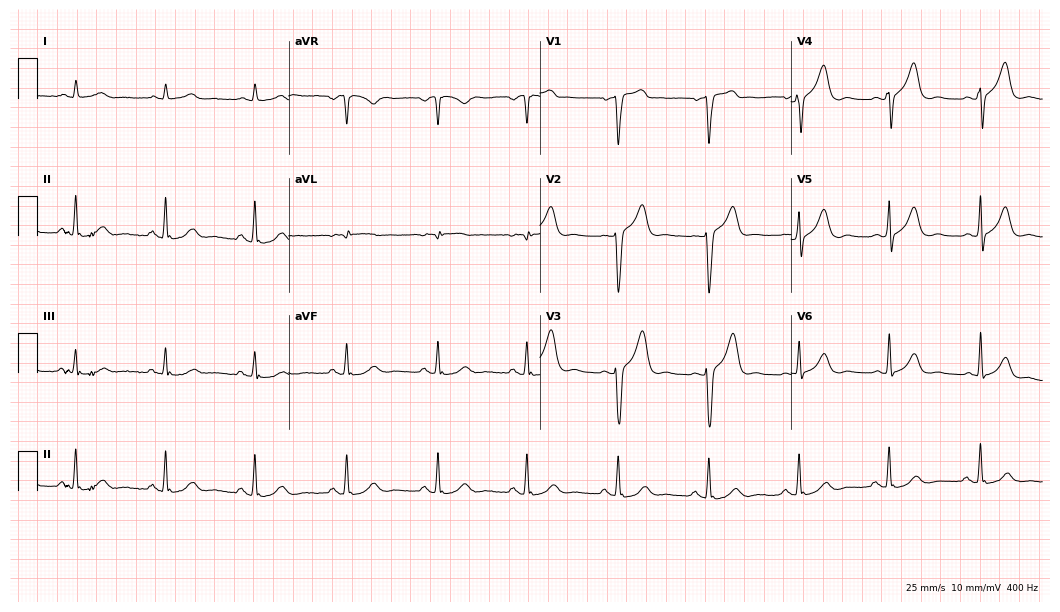
Electrocardiogram, a 61-year-old man. Overall reading on record: normal ECG.